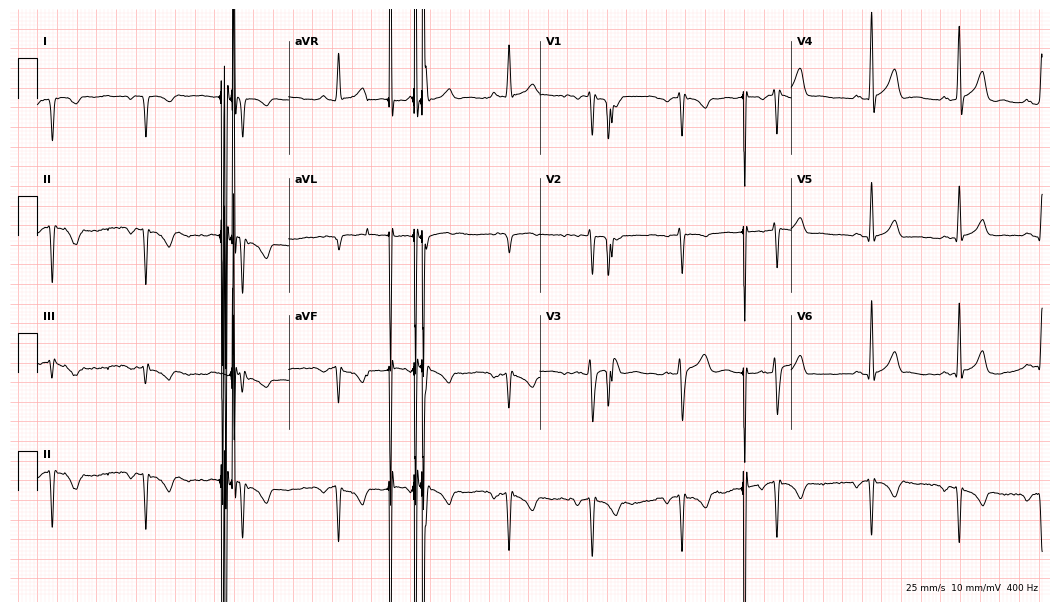
ECG (10.2-second recording at 400 Hz) — a male patient, 26 years old. Screened for six findings — first-degree AV block, right bundle branch block, left bundle branch block, sinus bradycardia, atrial fibrillation, sinus tachycardia — none is recorded. Only these six findings were labelled.